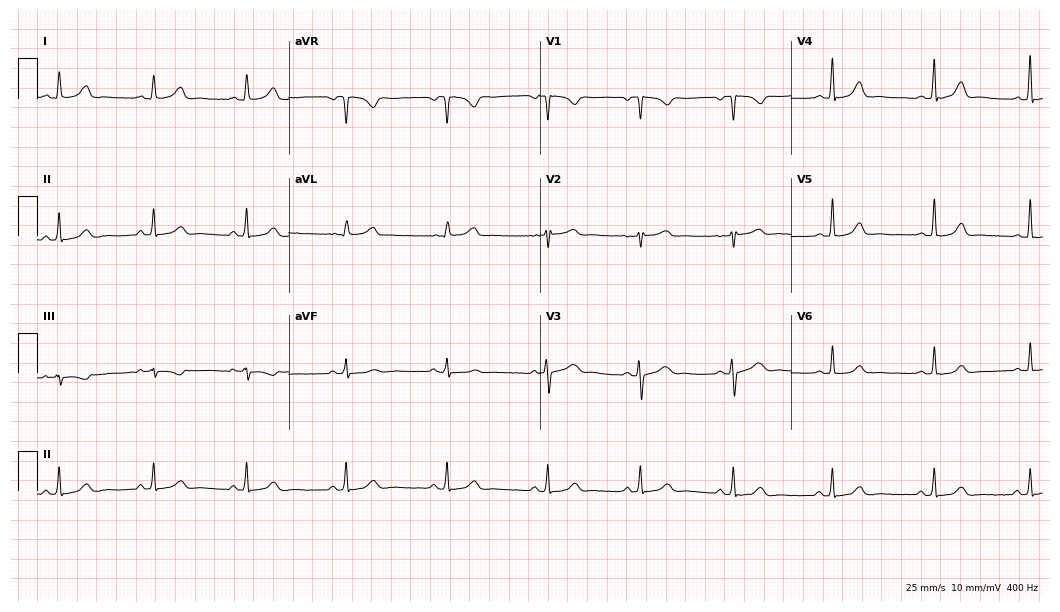
Standard 12-lead ECG recorded from a 26-year-old female. None of these six findings is recorded: first-degree AV block, right bundle branch block (RBBB), left bundle branch block (LBBB), sinus bradycardia, atrial fibrillation (AF), sinus tachycardia.